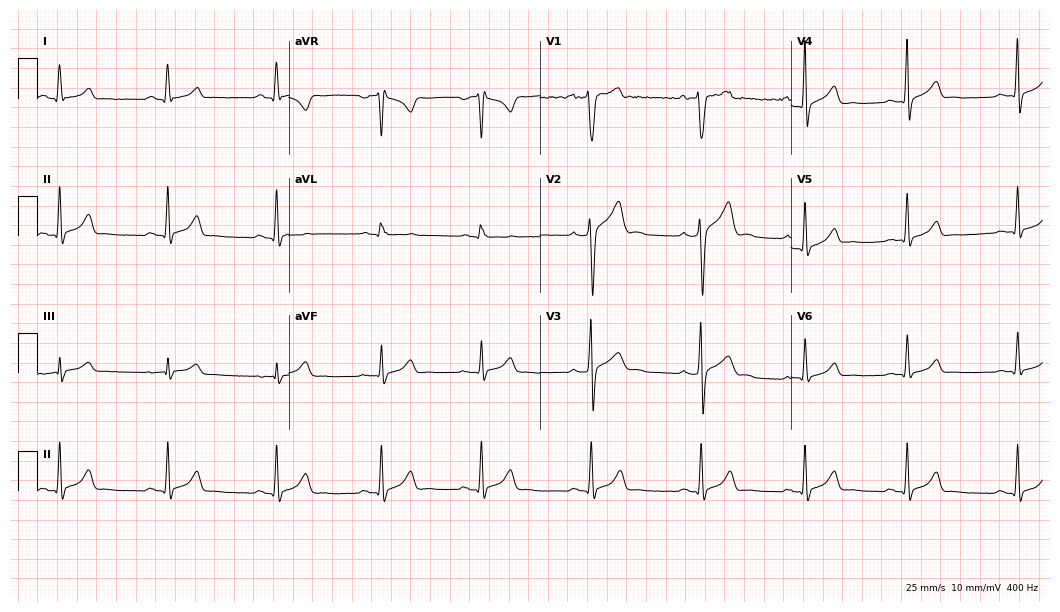
12-lead ECG from a male patient, 19 years old. Labelled as a normal ECG.